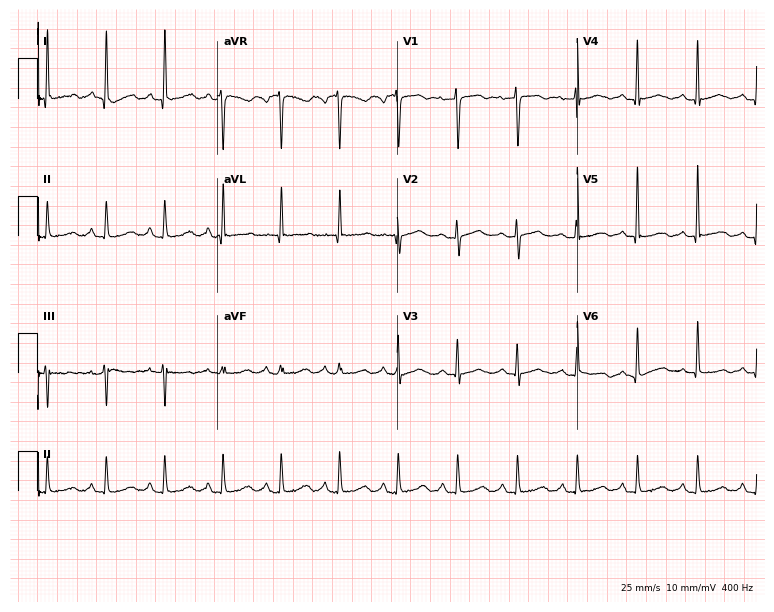
12-lead ECG from a 51-year-old female. No first-degree AV block, right bundle branch block, left bundle branch block, sinus bradycardia, atrial fibrillation or sinus tachycardia recorded for this tracing.